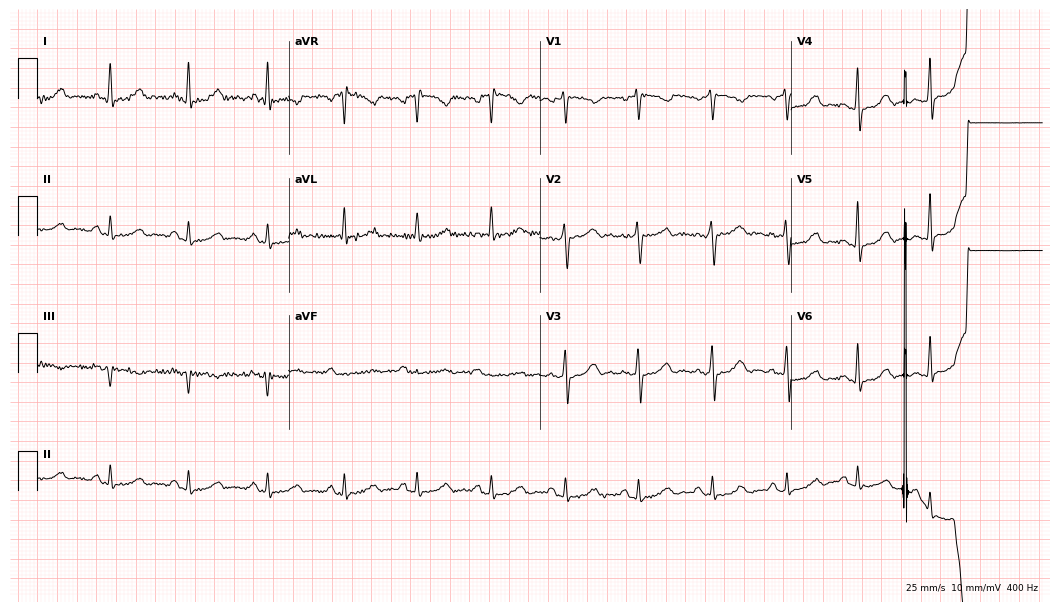
Standard 12-lead ECG recorded from a 56-year-old female patient (10.2-second recording at 400 Hz). Read as a normal ECG.